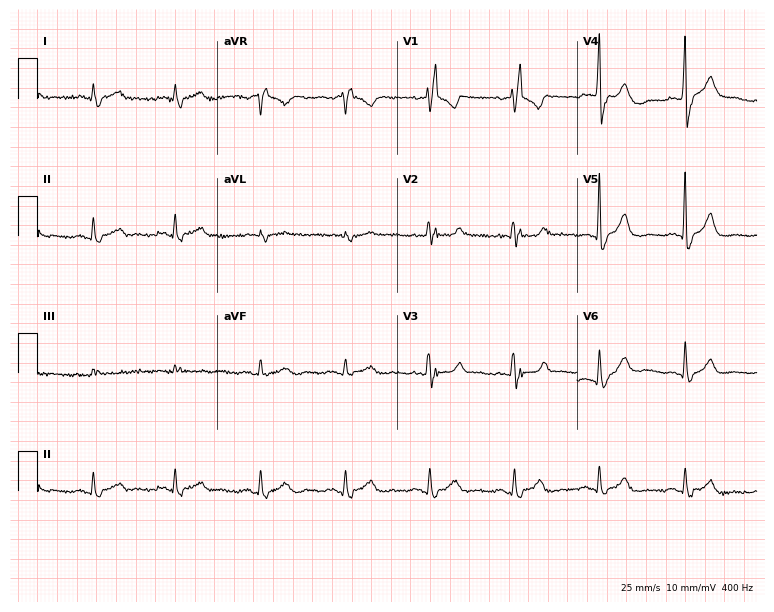
Electrocardiogram, a woman, 73 years old. Of the six screened findings (first-degree AV block, right bundle branch block (RBBB), left bundle branch block (LBBB), sinus bradycardia, atrial fibrillation (AF), sinus tachycardia), none is recorded.